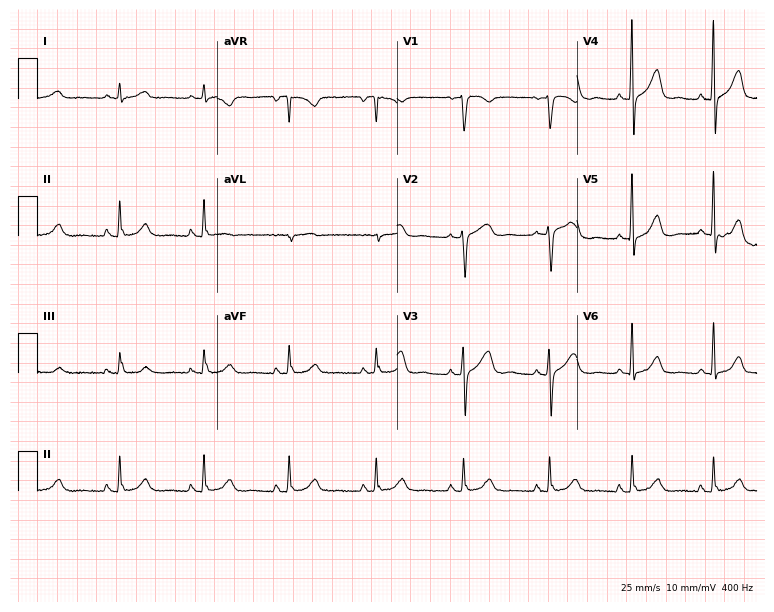
12-lead ECG from a woman, 50 years old. No first-degree AV block, right bundle branch block (RBBB), left bundle branch block (LBBB), sinus bradycardia, atrial fibrillation (AF) or sinus tachycardia recorded for this tracing. Findings outside these six are not listed.